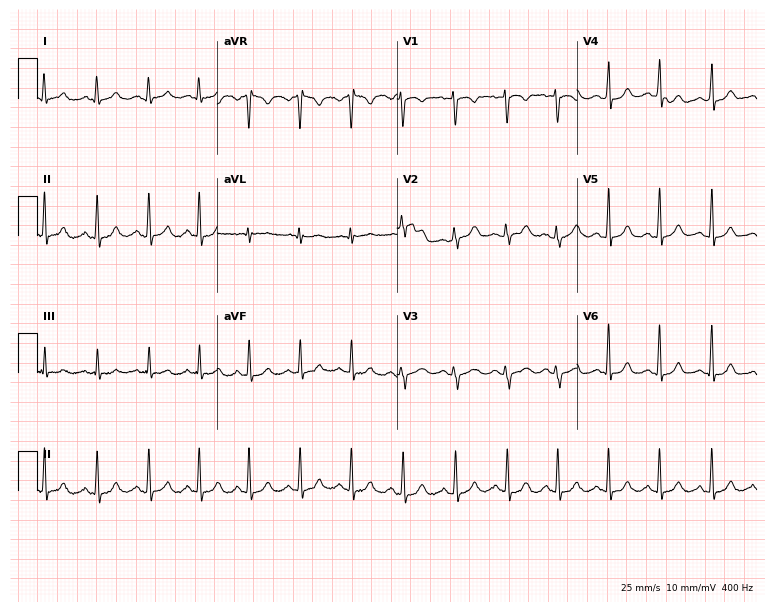
Standard 12-lead ECG recorded from a female, 23 years old. The tracing shows sinus tachycardia (a sinus rate of 100 beats per minute or more).